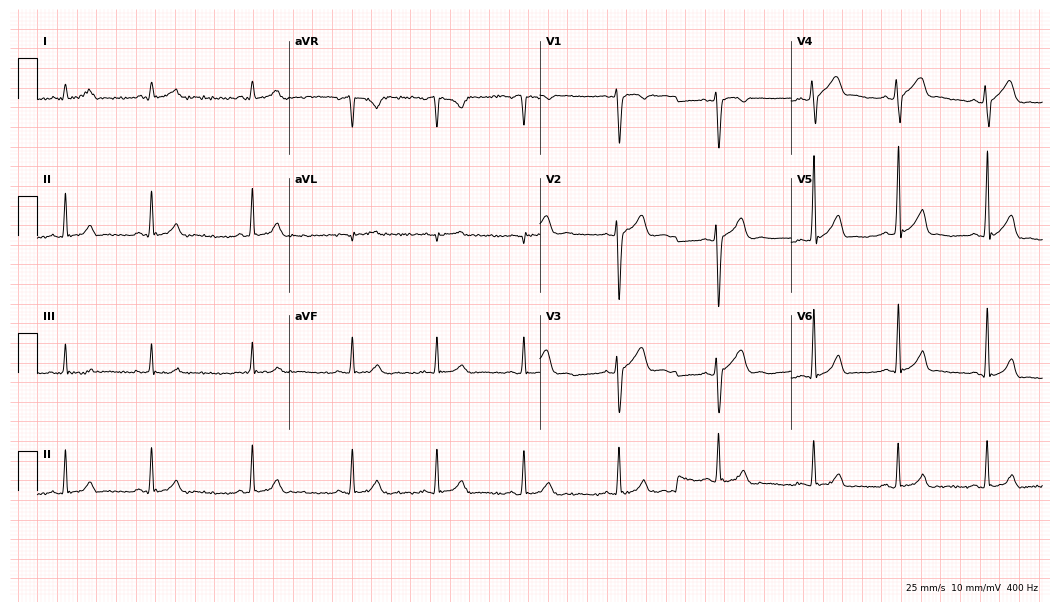
12-lead ECG (10.2-second recording at 400 Hz) from a male patient, 21 years old. Labelled as a normal ECG.